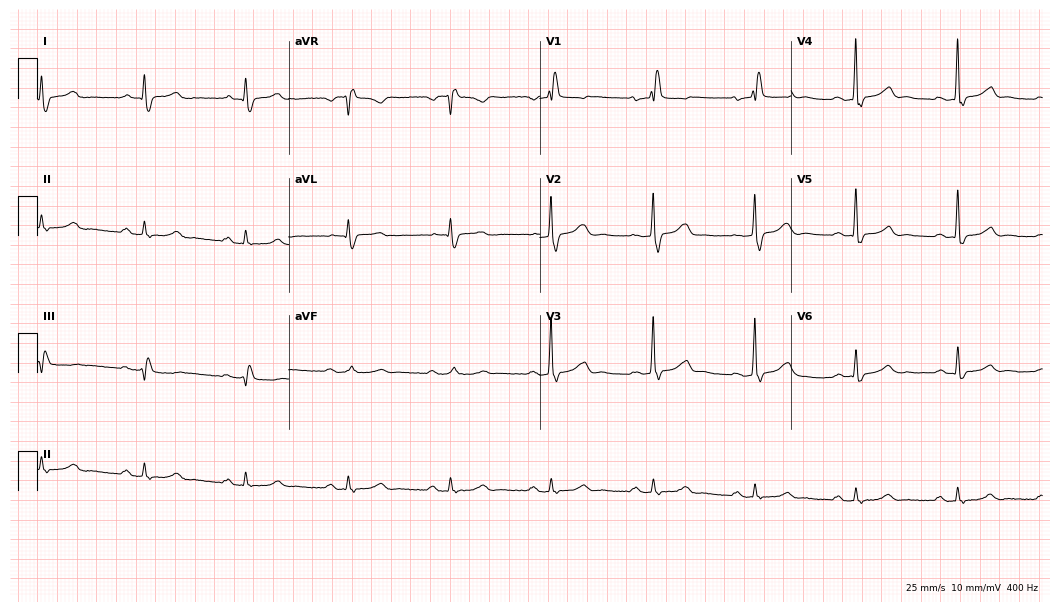
Electrocardiogram (10.2-second recording at 400 Hz), a 68-year-old male patient. Interpretation includes right bundle branch block.